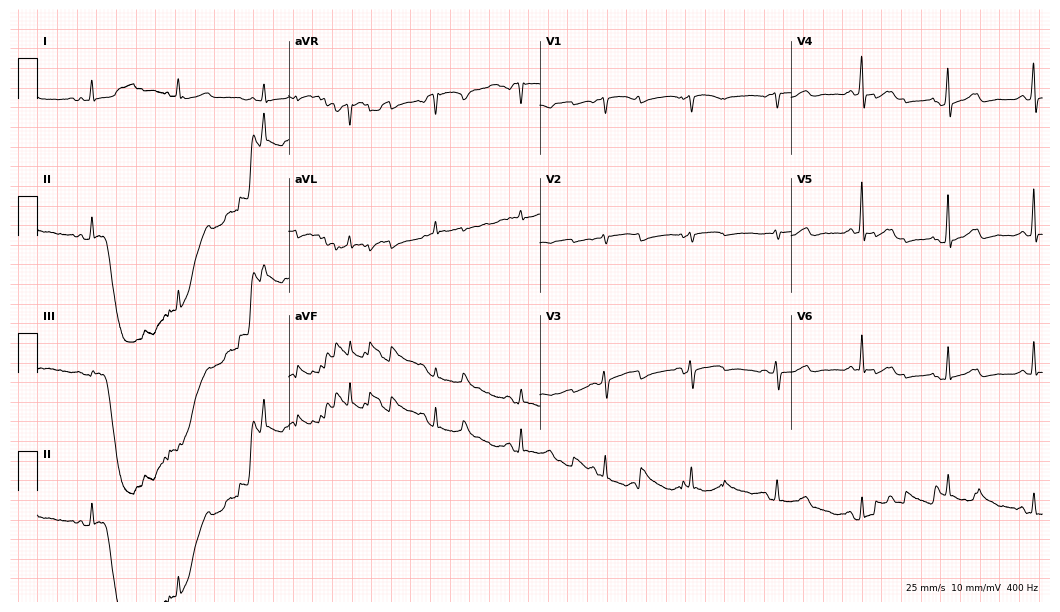
Standard 12-lead ECG recorded from a female, 72 years old (10.2-second recording at 400 Hz). None of these six findings is recorded: first-degree AV block, right bundle branch block (RBBB), left bundle branch block (LBBB), sinus bradycardia, atrial fibrillation (AF), sinus tachycardia. Findings outside these six are not listed.